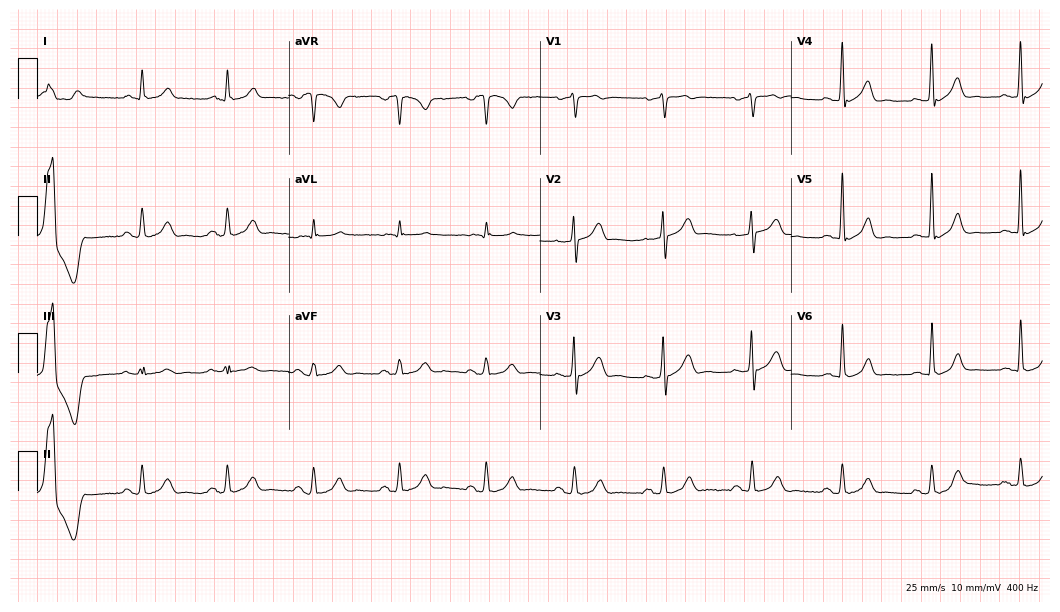
Electrocardiogram (10.2-second recording at 400 Hz), a 61-year-old male patient. Of the six screened findings (first-degree AV block, right bundle branch block (RBBB), left bundle branch block (LBBB), sinus bradycardia, atrial fibrillation (AF), sinus tachycardia), none is recorded. Other findings, if any, are not listed.